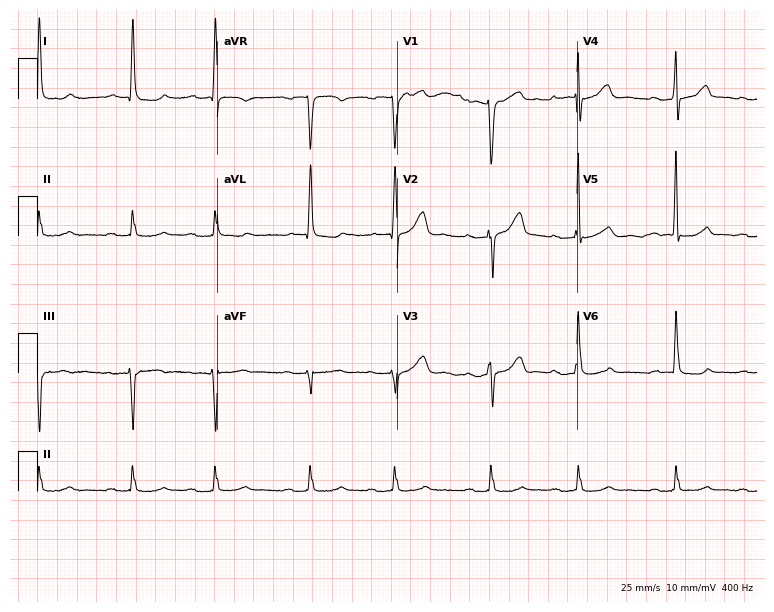
12-lead ECG (7.3-second recording at 400 Hz) from a man, 80 years old. Findings include first-degree AV block.